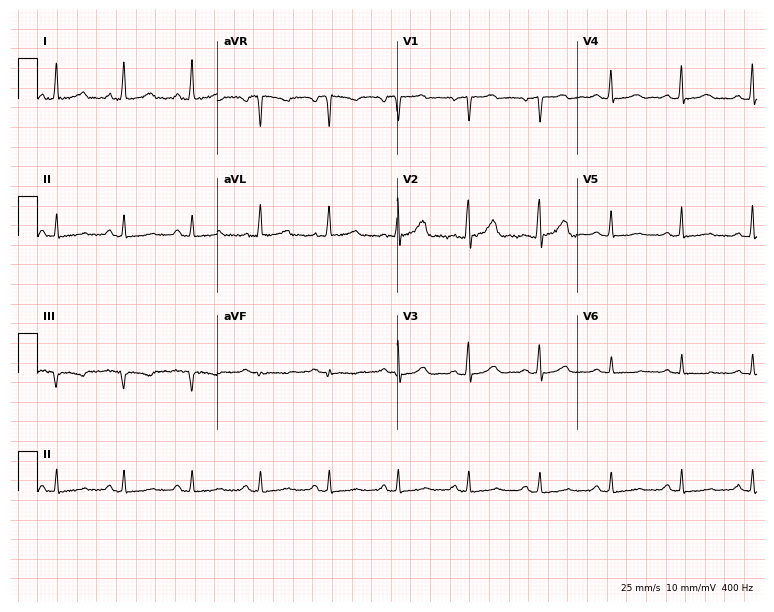
Electrocardiogram, a woman, 71 years old. Of the six screened findings (first-degree AV block, right bundle branch block, left bundle branch block, sinus bradycardia, atrial fibrillation, sinus tachycardia), none is recorded. Only these six findings were labelled.